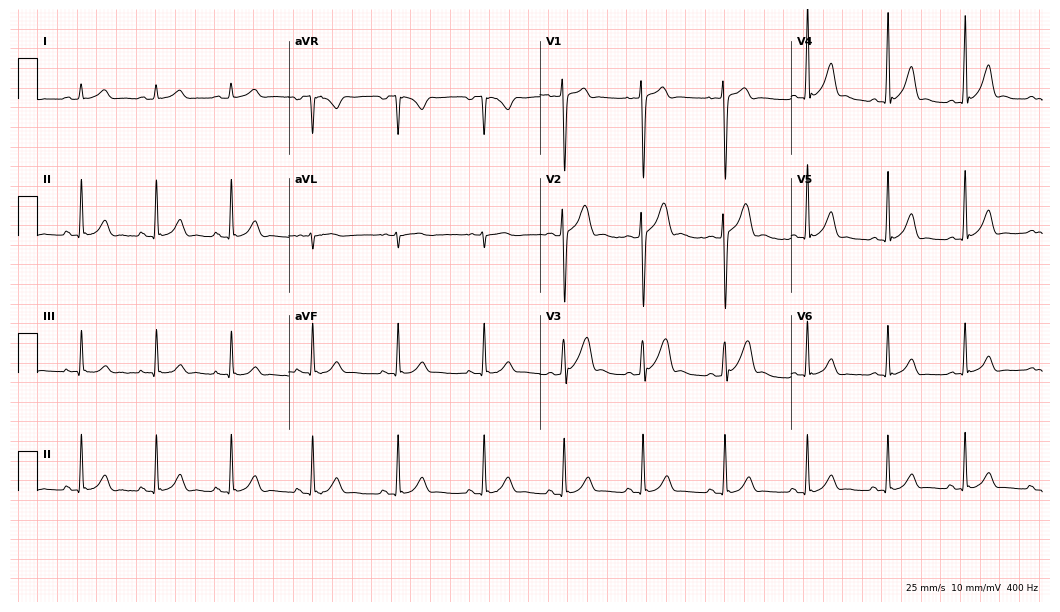
12-lead ECG (10.2-second recording at 400 Hz) from a man, 18 years old. Labelled as a normal ECG.